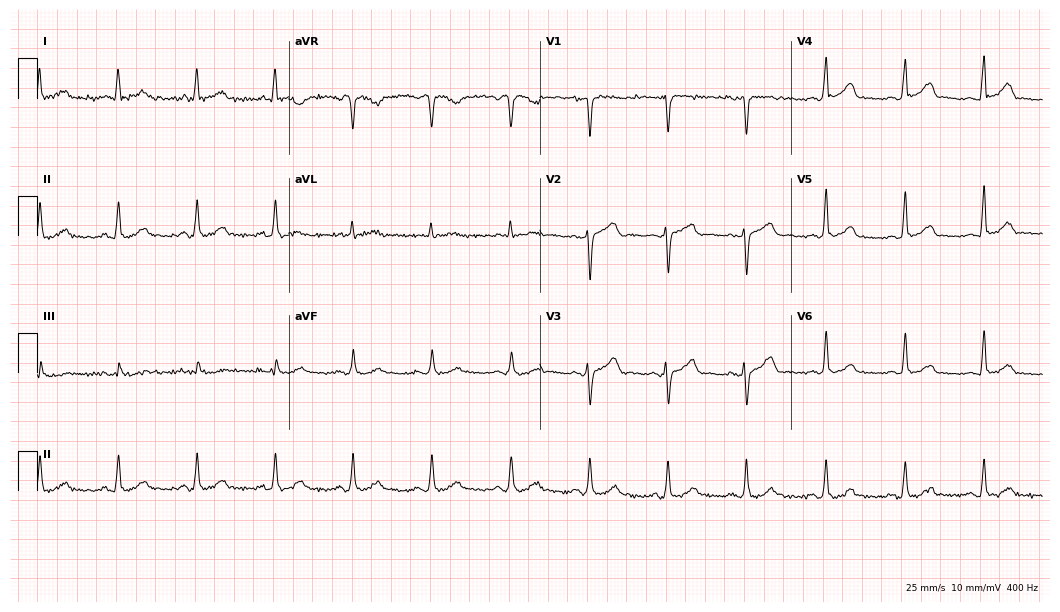
Electrocardiogram (10.2-second recording at 400 Hz), a 55-year-old female patient. Overall reading on record: normal ECG.